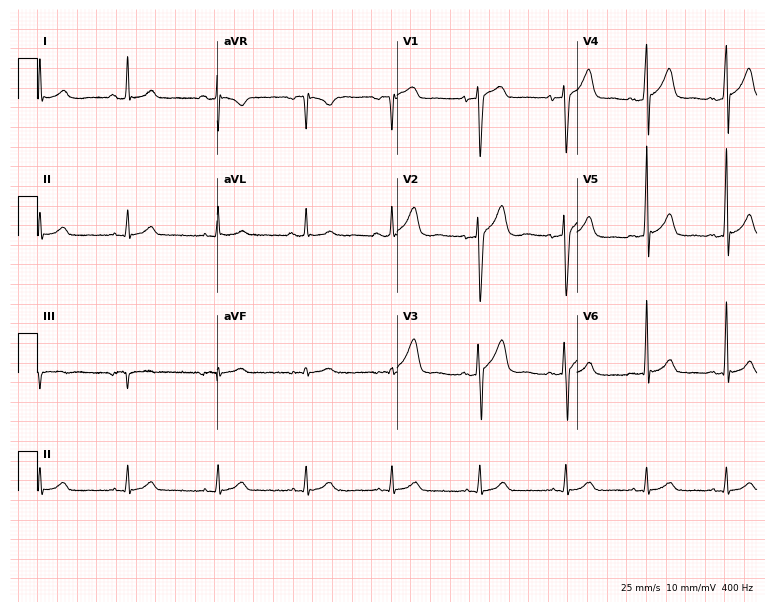
Resting 12-lead electrocardiogram. Patient: a 27-year-old male. Read as a normal ECG.